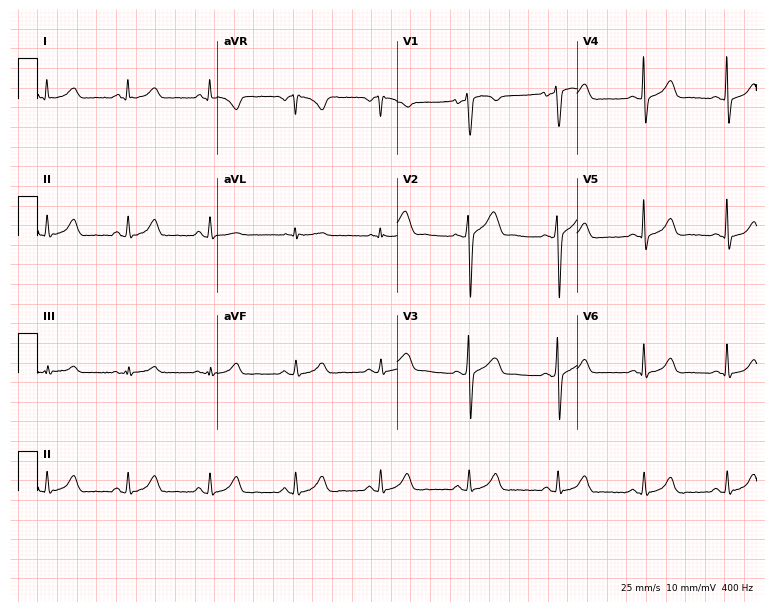
Resting 12-lead electrocardiogram (7.3-second recording at 400 Hz). Patient: a man, 37 years old. None of these six findings is recorded: first-degree AV block, right bundle branch block, left bundle branch block, sinus bradycardia, atrial fibrillation, sinus tachycardia. Findings outside these six are not listed.